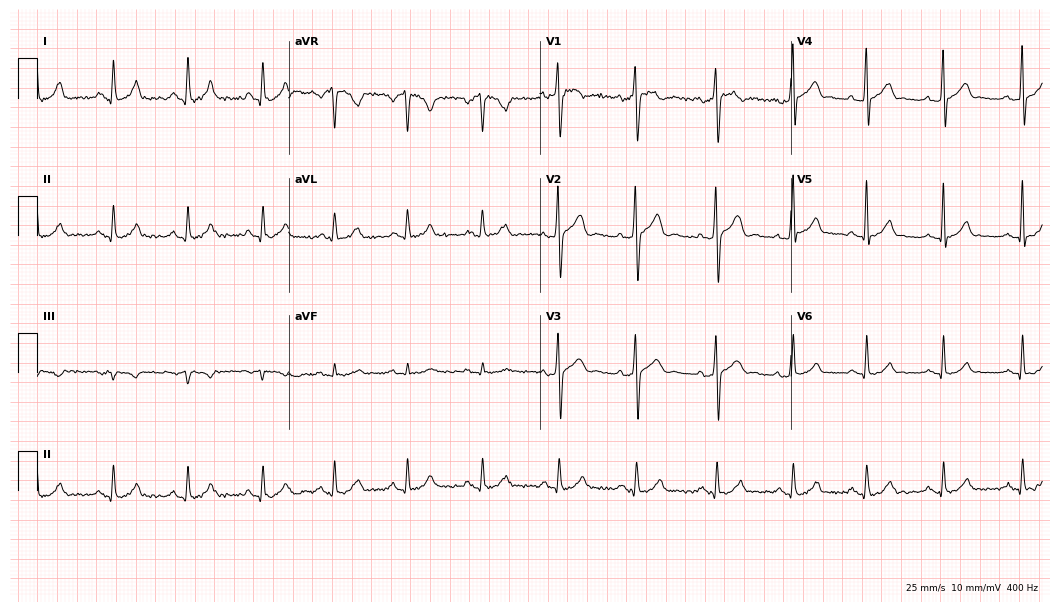
ECG — a 22-year-old male. Labelled as a normal ECG.